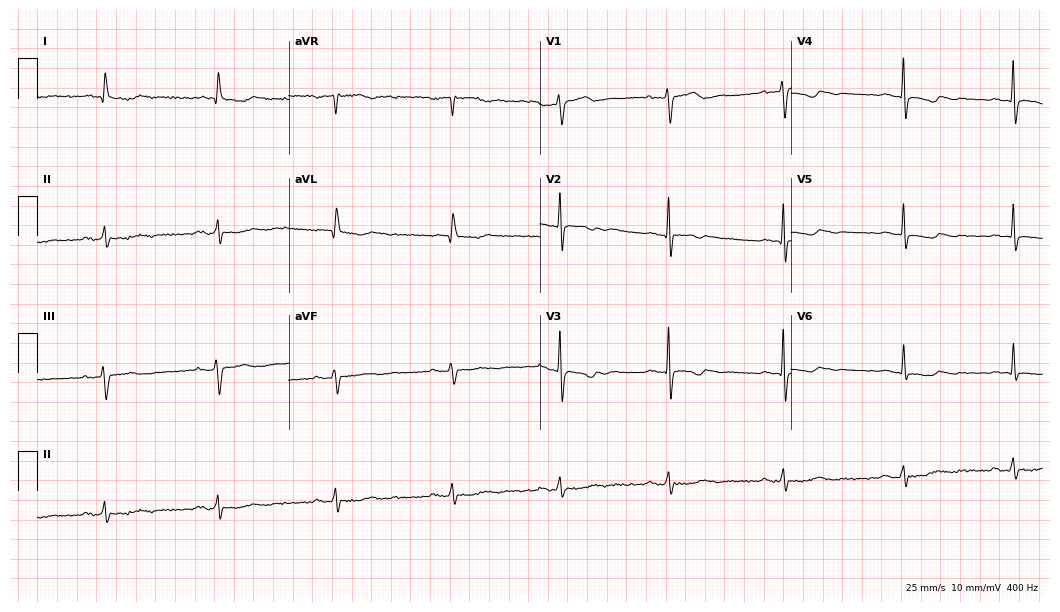
12-lead ECG (10.2-second recording at 400 Hz) from a female, 52 years old. Screened for six findings — first-degree AV block, right bundle branch block, left bundle branch block, sinus bradycardia, atrial fibrillation, sinus tachycardia — none is recorded. Findings outside these six are not listed.